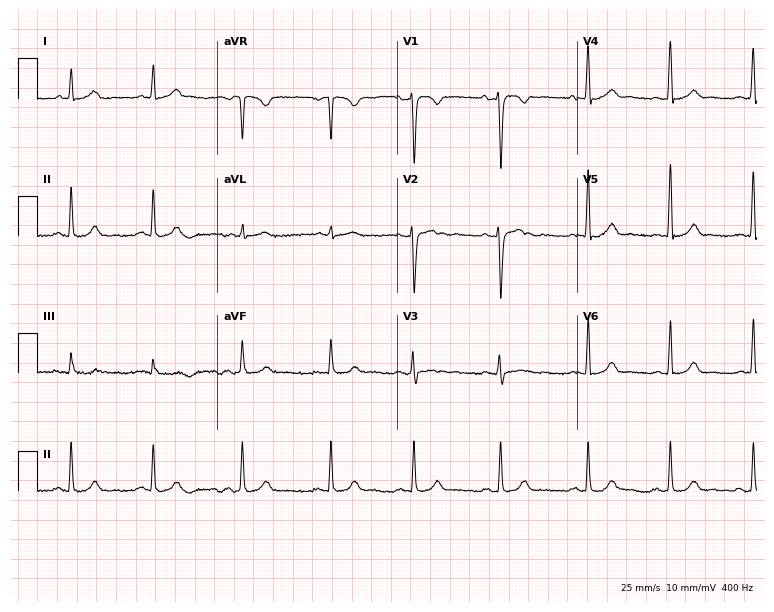
Electrocardiogram, a 38-year-old woman. Of the six screened findings (first-degree AV block, right bundle branch block, left bundle branch block, sinus bradycardia, atrial fibrillation, sinus tachycardia), none is recorded. Findings outside these six are not listed.